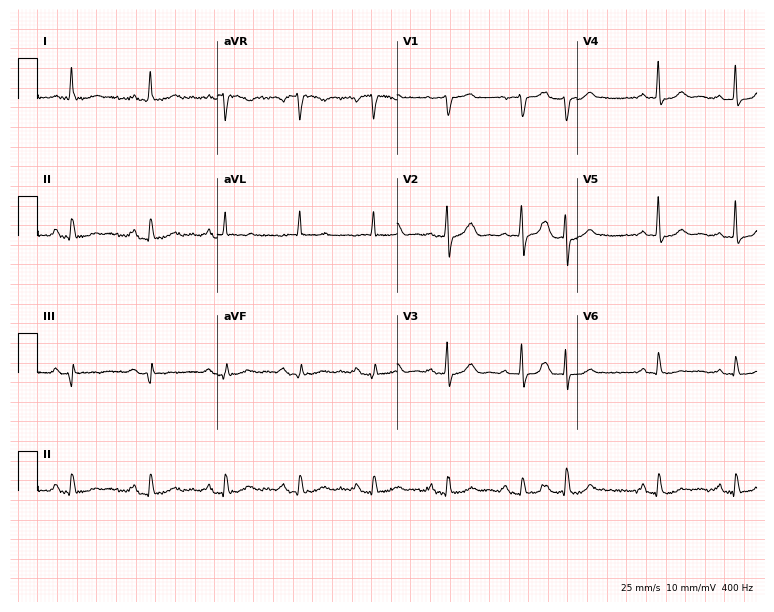
Resting 12-lead electrocardiogram. Patient: a woman, 73 years old. None of these six findings is recorded: first-degree AV block, right bundle branch block (RBBB), left bundle branch block (LBBB), sinus bradycardia, atrial fibrillation (AF), sinus tachycardia. Only these six findings were labelled.